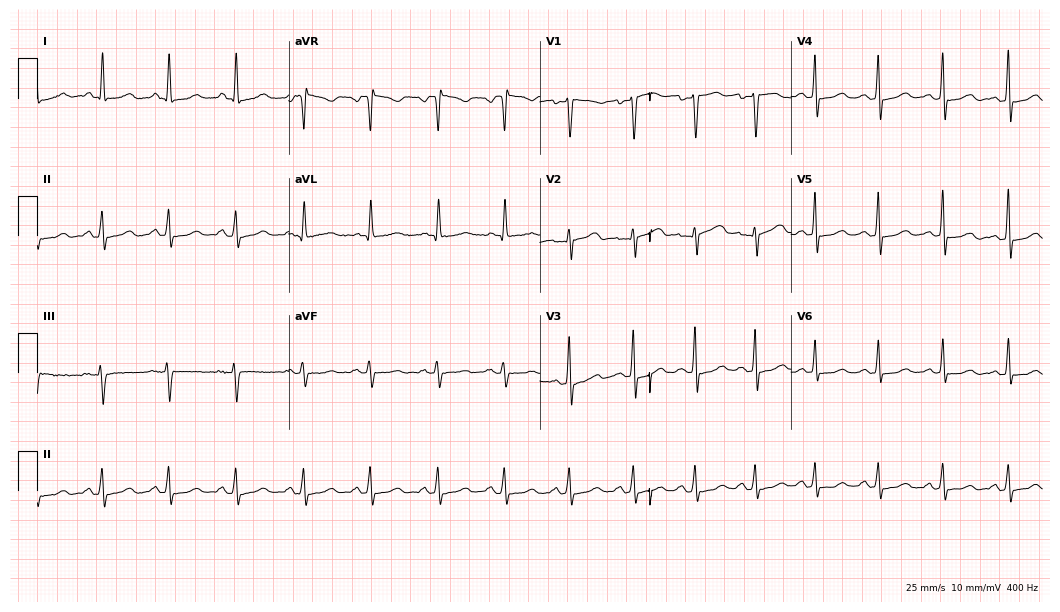
12-lead ECG from a female patient, 53 years old (10.2-second recording at 400 Hz). Recorded interpretation: within normal limits.